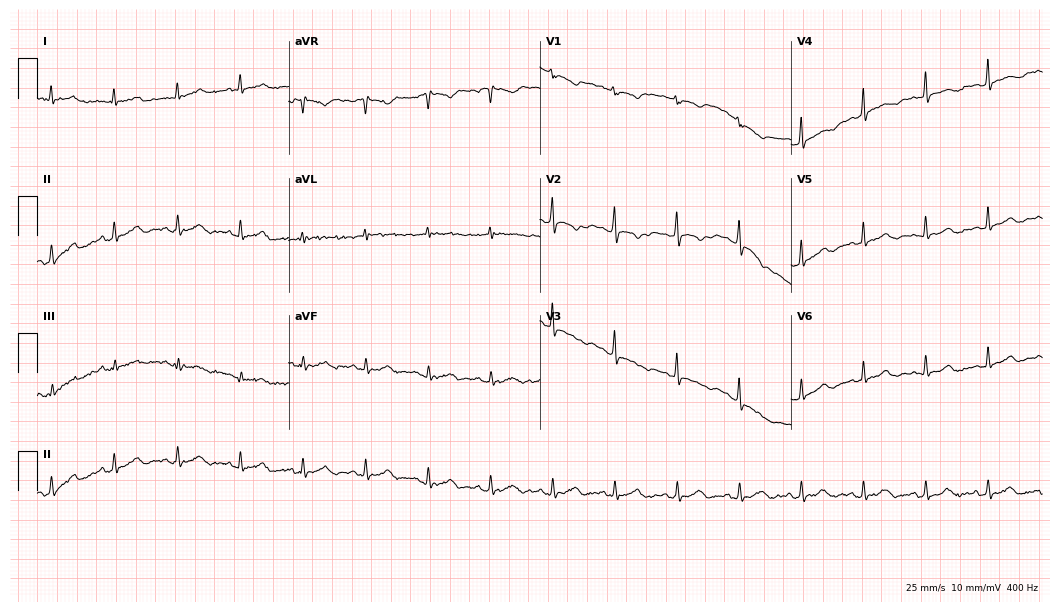
12-lead ECG from a female, 39 years old. No first-degree AV block, right bundle branch block (RBBB), left bundle branch block (LBBB), sinus bradycardia, atrial fibrillation (AF) or sinus tachycardia recorded for this tracing.